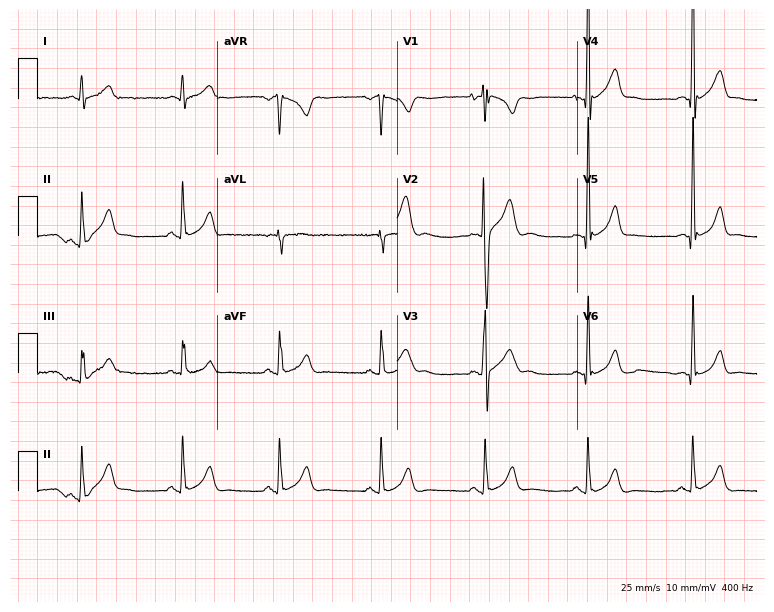
Electrocardiogram (7.3-second recording at 400 Hz), a 19-year-old male. Overall reading on record: normal ECG.